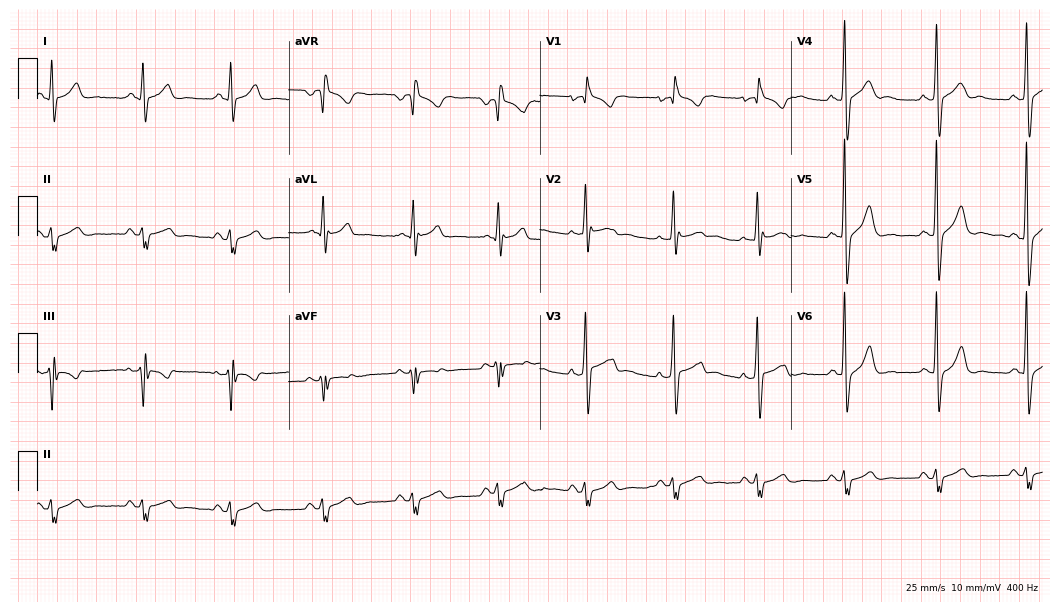
ECG (10.2-second recording at 400 Hz) — a 42-year-old male patient. Screened for six findings — first-degree AV block, right bundle branch block, left bundle branch block, sinus bradycardia, atrial fibrillation, sinus tachycardia — none is recorded. Findings outside these six are not listed.